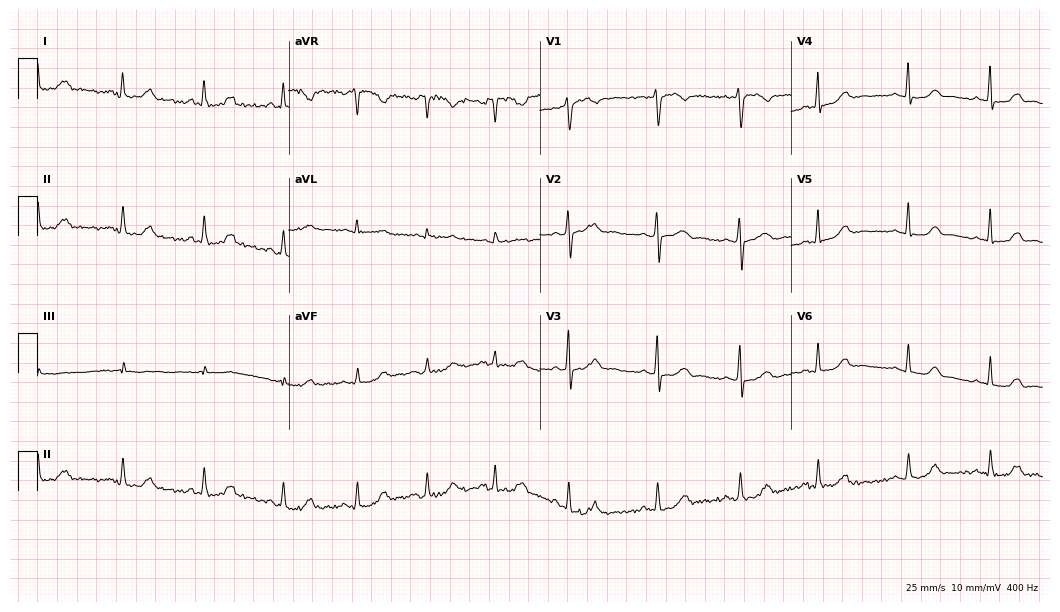
Resting 12-lead electrocardiogram. Patient: a woman, 39 years old. Read as a normal ECG.